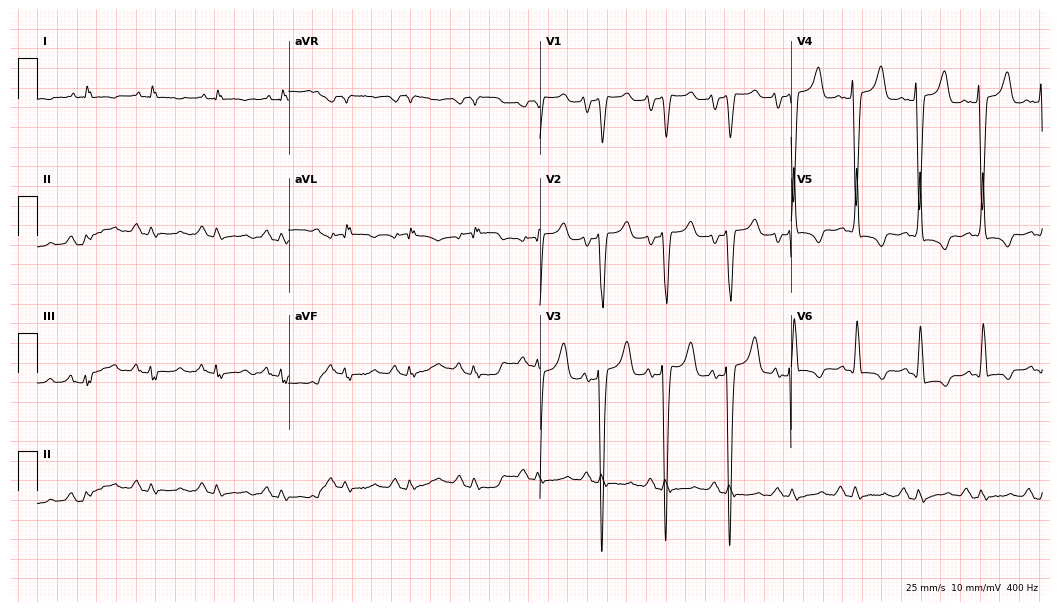
Resting 12-lead electrocardiogram. Patient: a 43-year-old male. None of these six findings is recorded: first-degree AV block, right bundle branch block, left bundle branch block, sinus bradycardia, atrial fibrillation, sinus tachycardia.